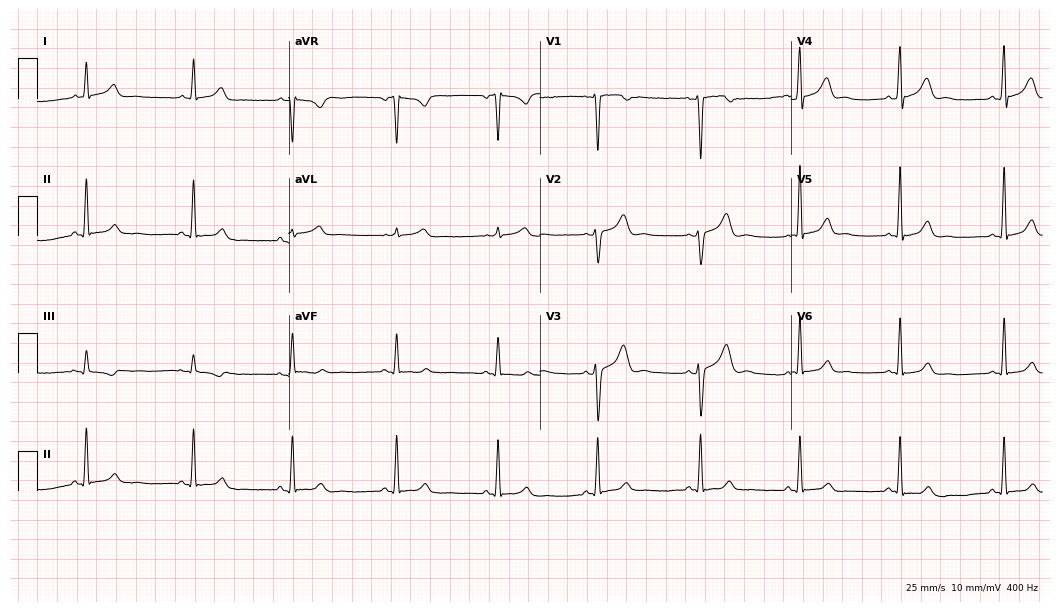
12-lead ECG from a woman, 42 years old. Screened for six findings — first-degree AV block, right bundle branch block, left bundle branch block, sinus bradycardia, atrial fibrillation, sinus tachycardia — none is recorded. Findings outside these six are not listed.